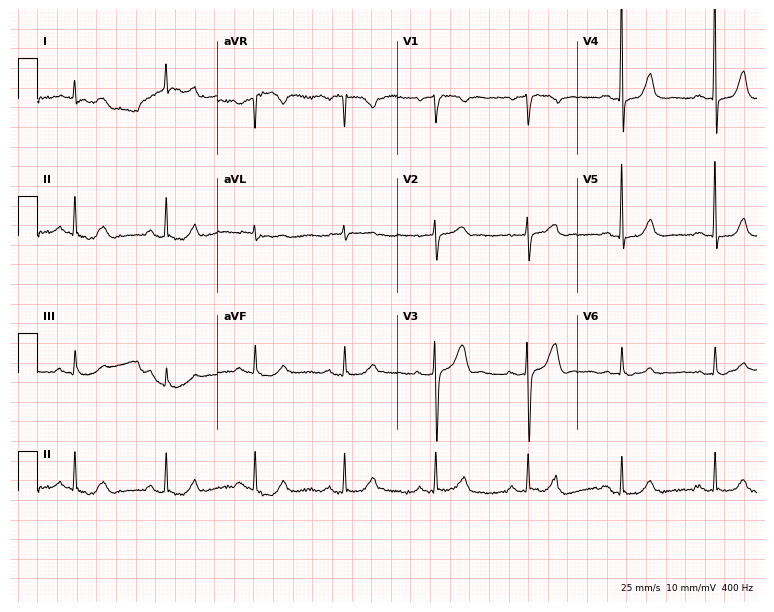
Electrocardiogram (7.3-second recording at 400 Hz), a male patient, 54 years old. Of the six screened findings (first-degree AV block, right bundle branch block, left bundle branch block, sinus bradycardia, atrial fibrillation, sinus tachycardia), none is recorded.